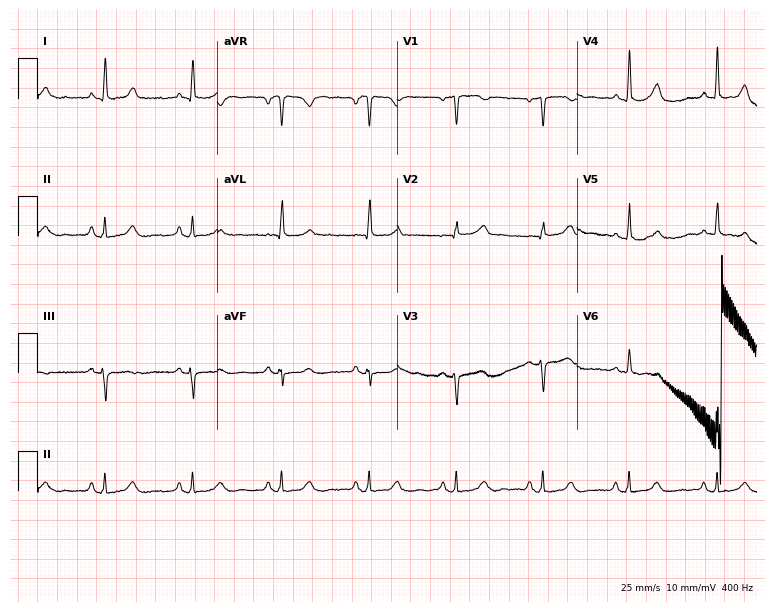
Resting 12-lead electrocardiogram (7.3-second recording at 400 Hz). Patient: a 65-year-old female. Read as a normal ECG.